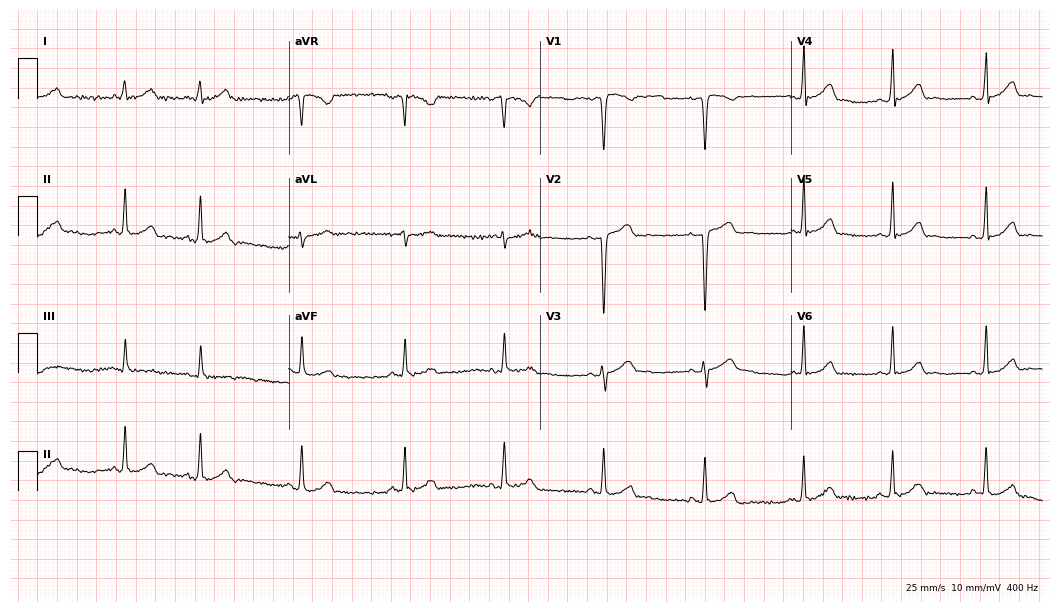
12-lead ECG from a woman, 19 years old. No first-degree AV block, right bundle branch block, left bundle branch block, sinus bradycardia, atrial fibrillation or sinus tachycardia recorded for this tracing.